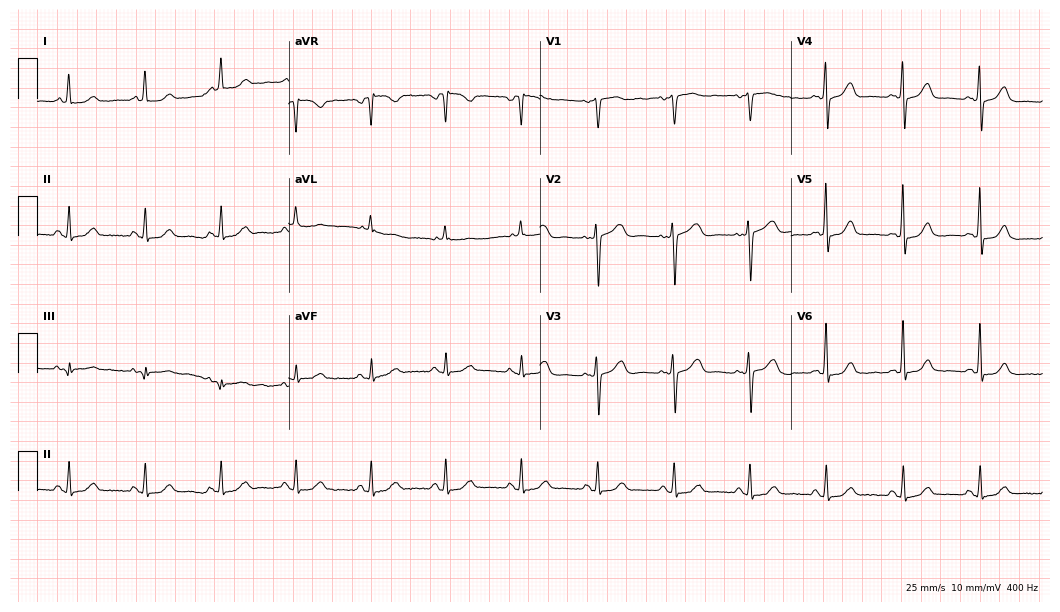
ECG (10.2-second recording at 400 Hz) — a 57-year-old woman. Labelled as a normal ECG.